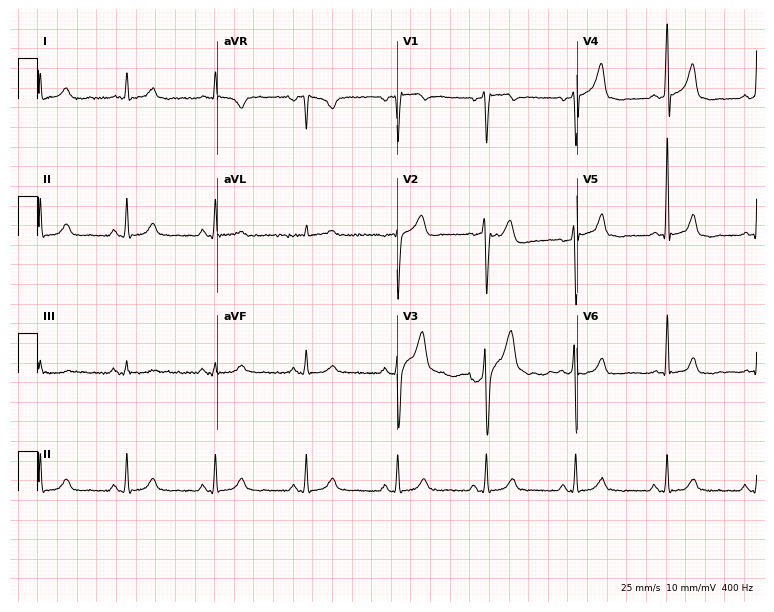
Resting 12-lead electrocardiogram. Patient: a man, 51 years old. Read as a normal ECG.